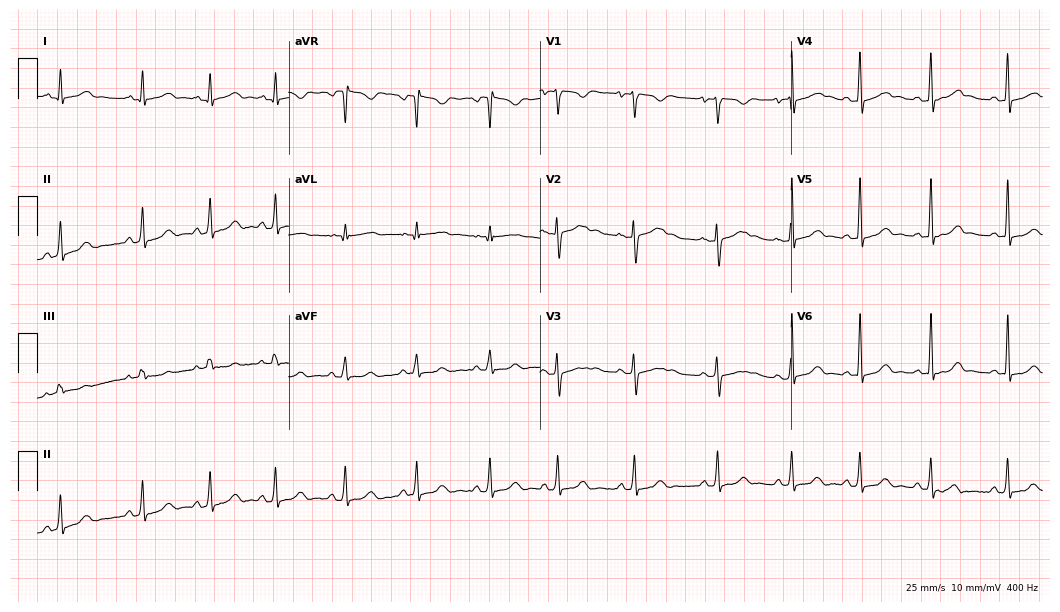
Resting 12-lead electrocardiogram (10.2-second recording at 400 Hz). Patient: a woman, 21 years old. Read as a normal ECG.